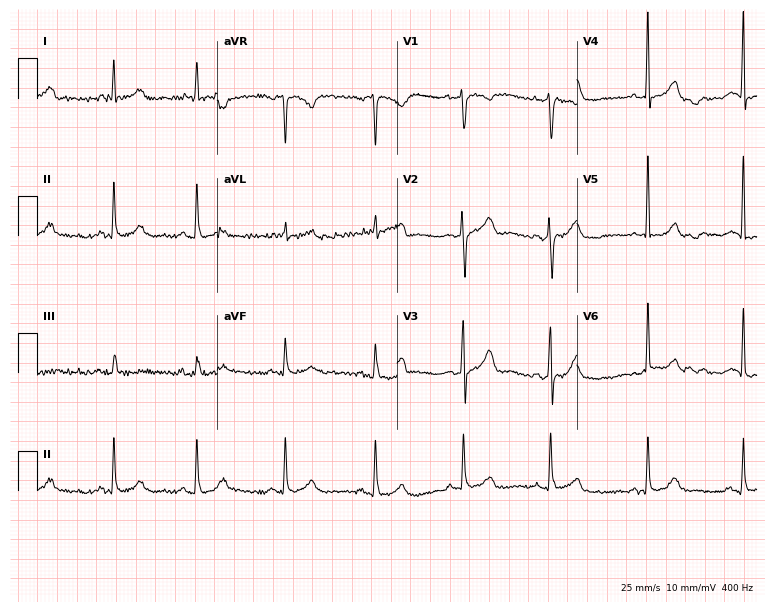
12-lead ECG from a female patient, 47 years old. Screened for six findings — first-degree AV block, right bundle branch block, left bundle branch block, sinus bradycardia, atrial fibrillation, sinus tachycardia — none is recorded.